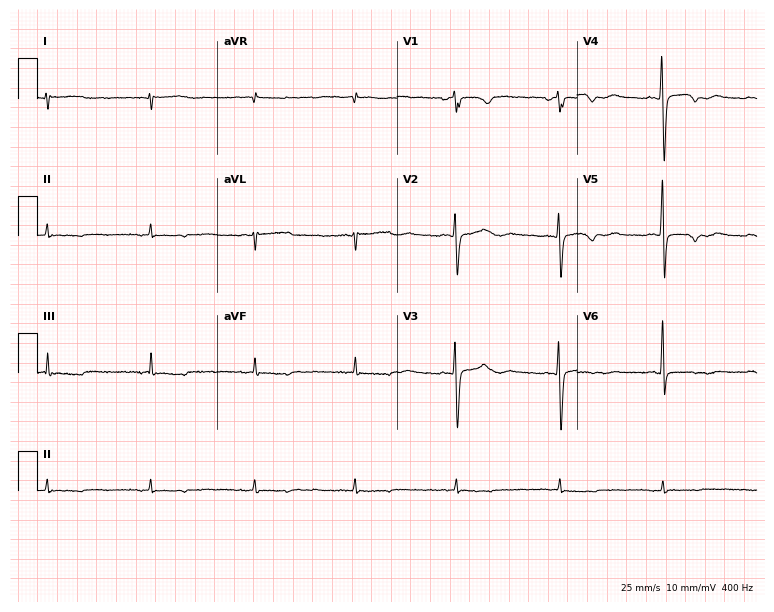
Electrocardiogram (7.3-second recording at 400 Hz), a 49-year-old woman. Of the six screened findings (first-degree AV block, right bundle branch block (RBBB), left bundle branch block (LBBB), sinus bradycardia, atrial fibrillation (AF), sinus tachycardia), none is recorded.